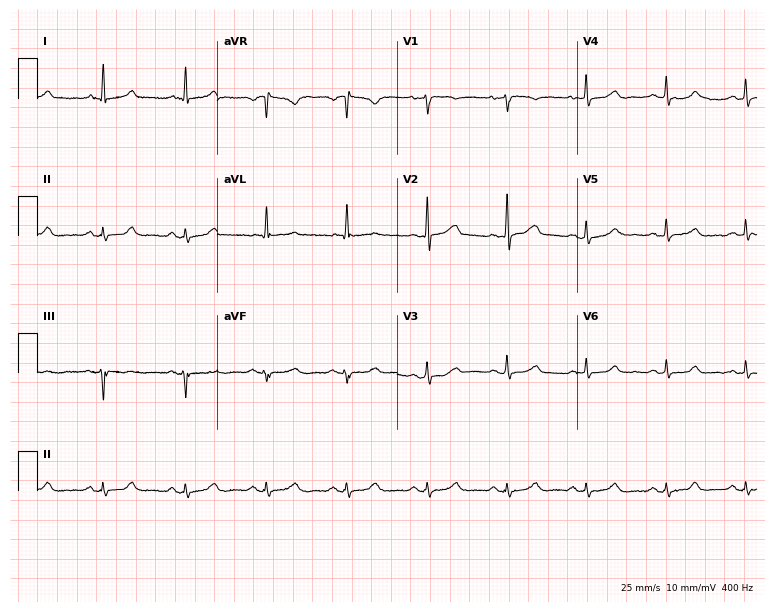
12-lead ECG (7.3-second recording at 400 Hz) from a 48-year-old woman. Labelled as a normal ECG.